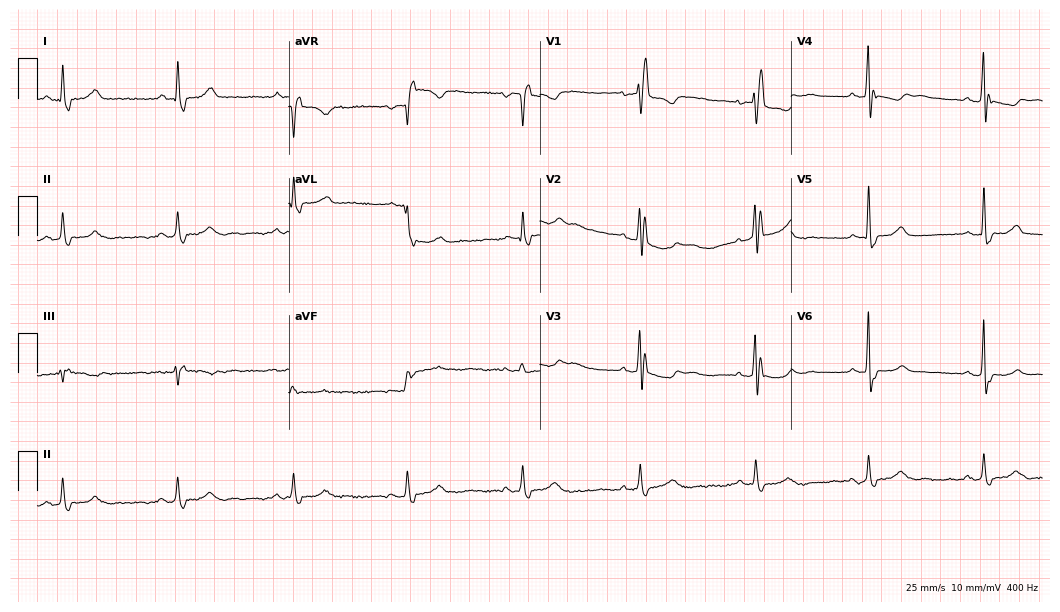
Electrocardiogram (10.2-second recording at 400 Hz), a 62-year-old female patient. Interpretation includes right bundle branch block.